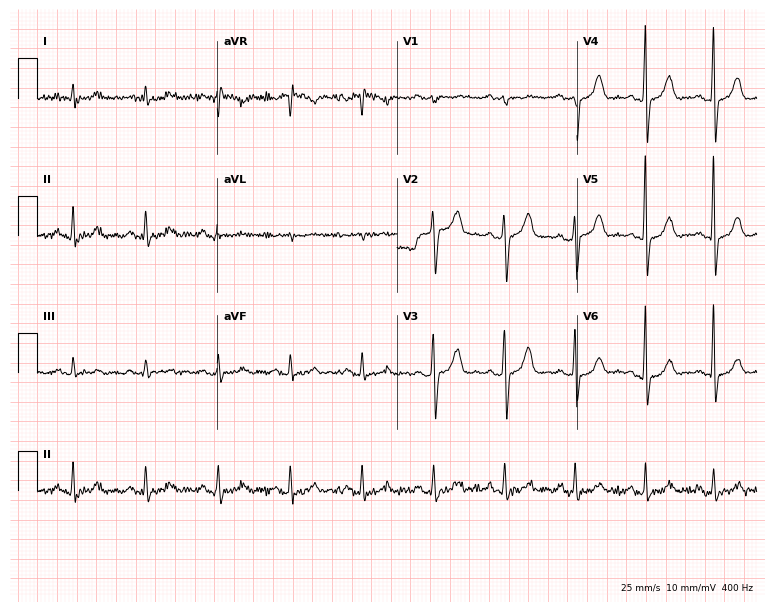
Resting 12-lead electrocardiogram. Patient: a man, 71 years old. Read as a normal ECG.